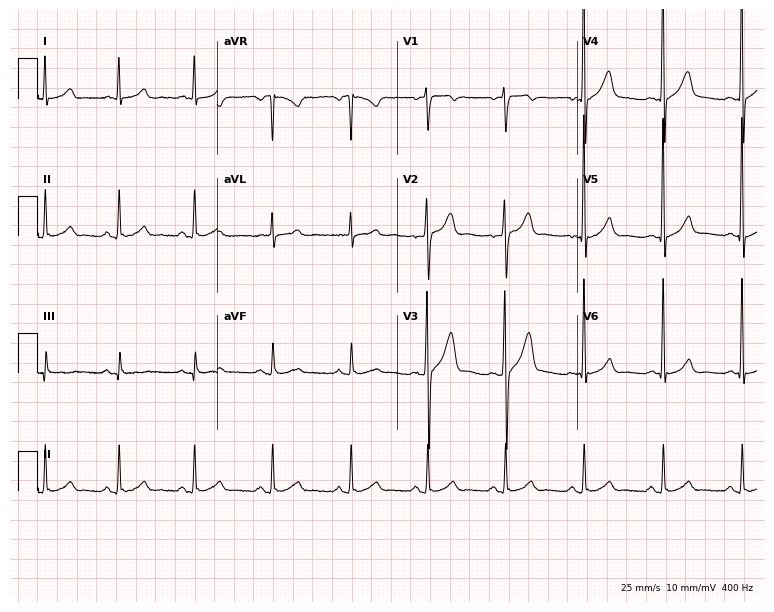
Resting 12-lead electrocardiogram. Patient: a male, 34 years old. Read as a normal ECG.